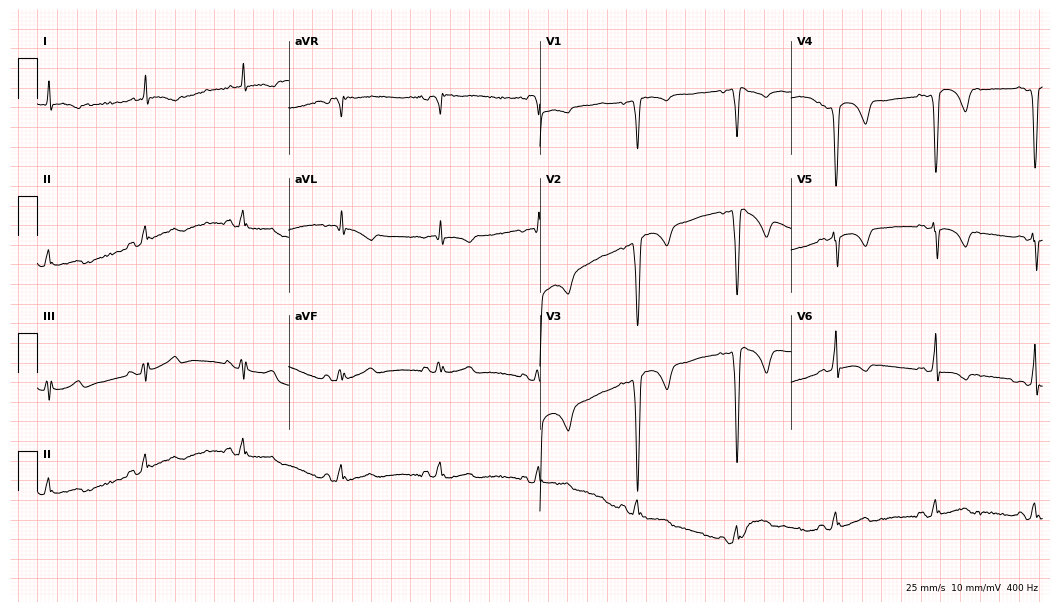
Electrocardiogram, a 72-year-old female patient. Of the six screened findings (first-degree AV block, right bundle branch block (RBBB), left bundle branch block (LBBB), sinus bradycardia, atrial fibrillation (AF), sinus tachycardia), none is recorded.